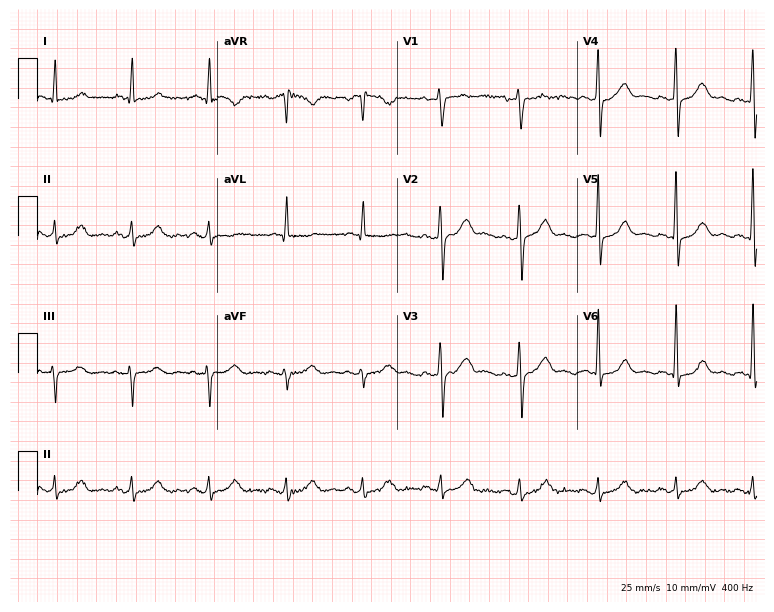
Resting 12-lead electrocardiogram (7.3-second recording at 400 Hz). Patient: a 58-year-old man. None of these six findings is recorded: first-degree AV block, right bundle branch block, left bundle branch block, sinus bradycardia, atrial fibrillation, sinus tachycardia.